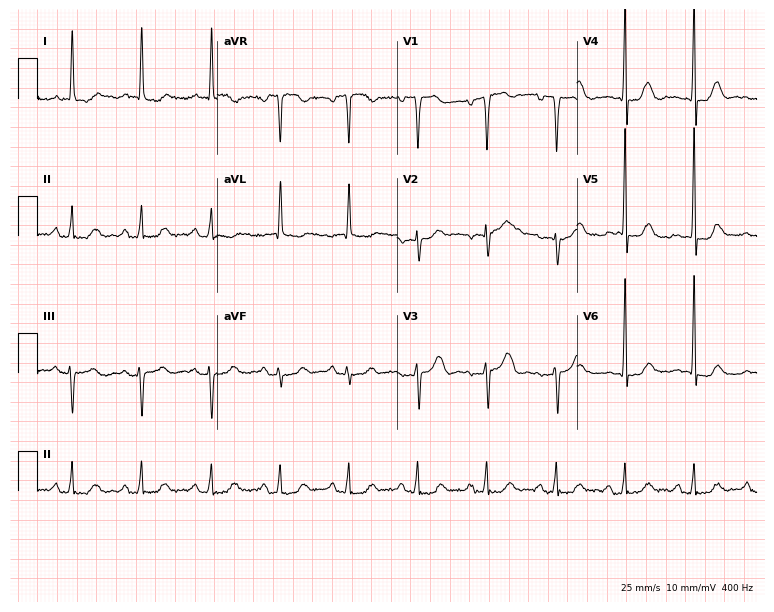
ECG — a 78-year-old female. Screened for six findings — first-degree AV block, right bundle branch block, left bundle branch block, sinus bradycardia, atrial fibrillation, sinus tachycardia — none is recorded. Only these six findings were labelled.